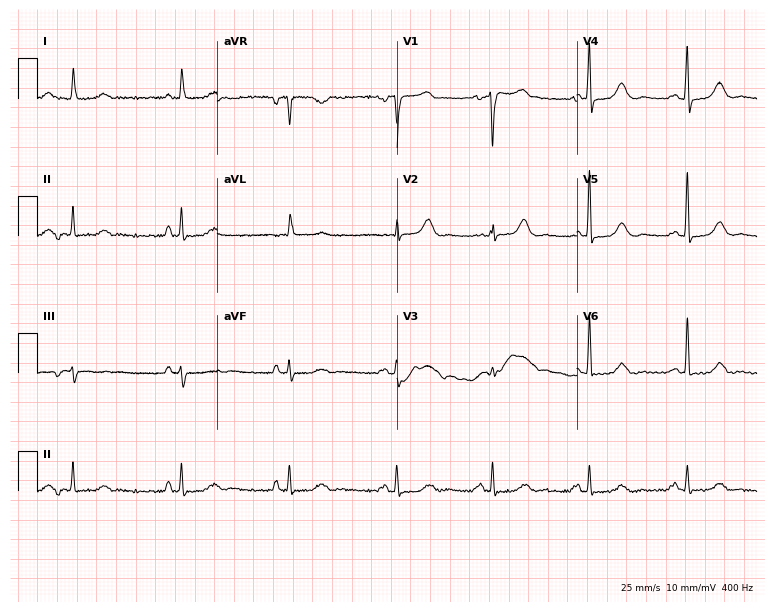
Resting 12-lead electrocardiogram (7.3-second recording at 400 Hz). Patient: a woman, 75 years old. Read as a normal ECG.